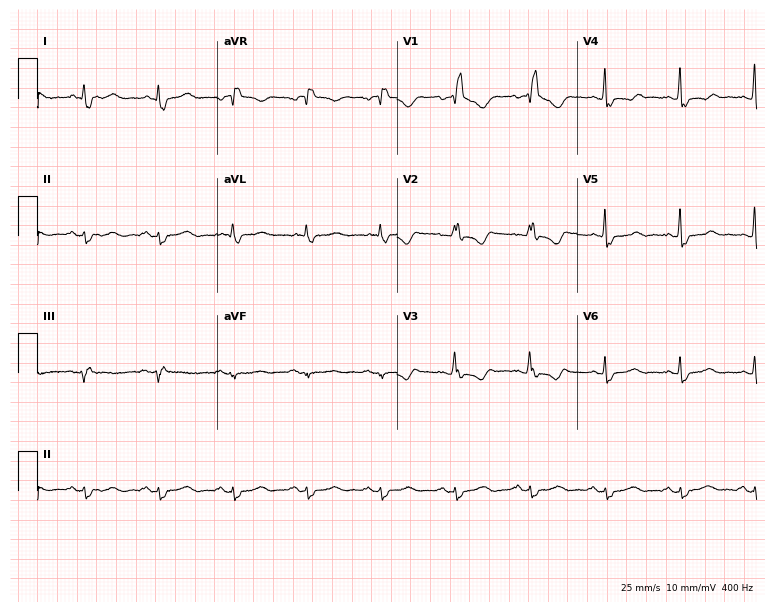
Electrocardiogram, a female patient, 49 years old. Interpretation includes right bundle branch block.